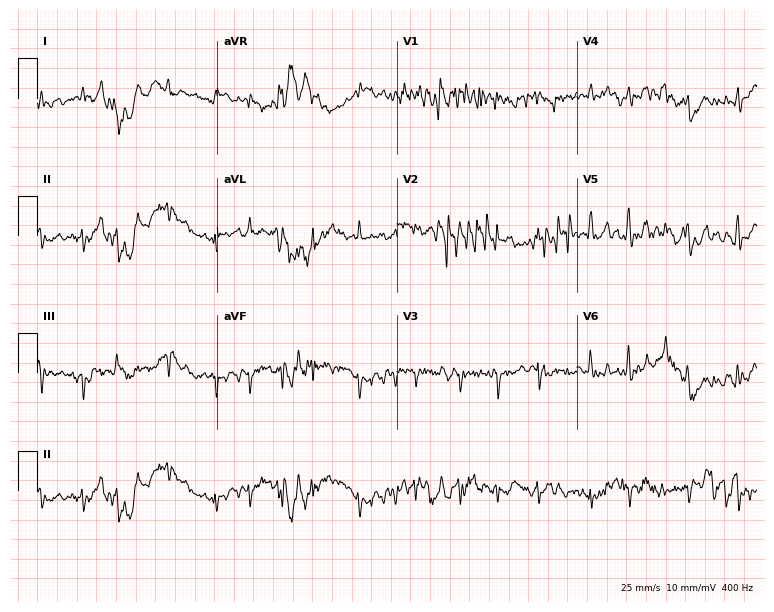
12-lead ECG (7.3-second recording at 400 Hz) from an 81-year-old male. Screened for six findings — first-degree AV block, right bundle branch block, left bundle branch block, sinus bradycardia, atrial fibrillation, sinus tachycardia — none is recorded. Other findings, if any, are not listed.